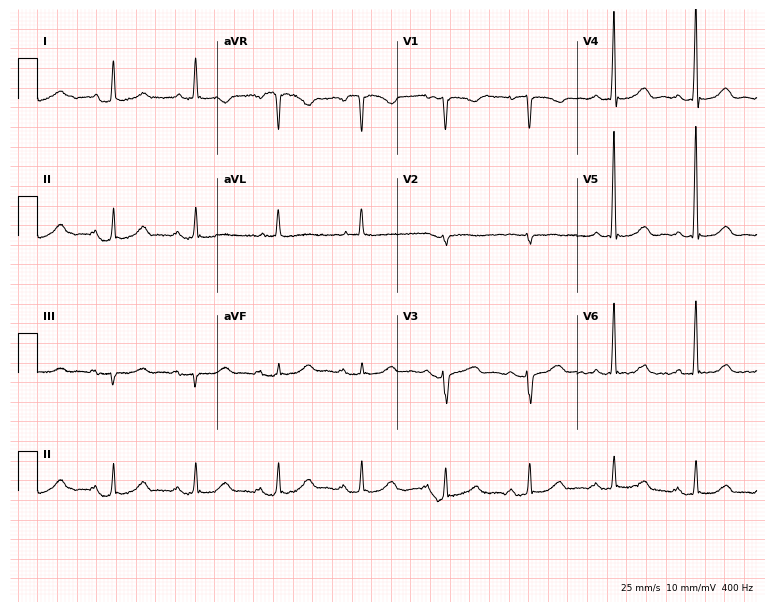
Standard 12-lead ECG recorded from a 73-year-old female. Read as a normal ECG.